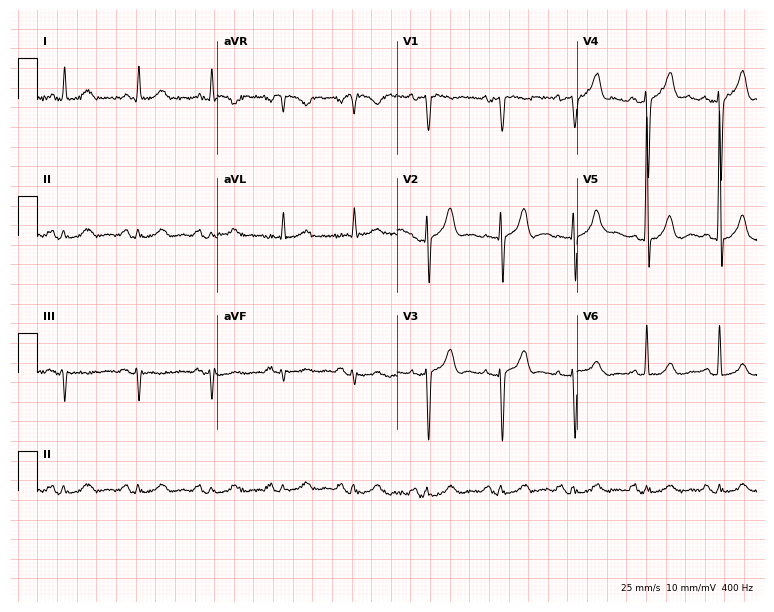
Resting 12-lead electrocardiogram (7.3-second recording at 400 Hz). Patient: a 67-year-old male. None of these six findings is recorded: first-degree AV block, right bundle branch block, left bundle branch block, sinus bradycardia, atrial fibrillation, sinus tachycardia. Only these six findings were labelled.